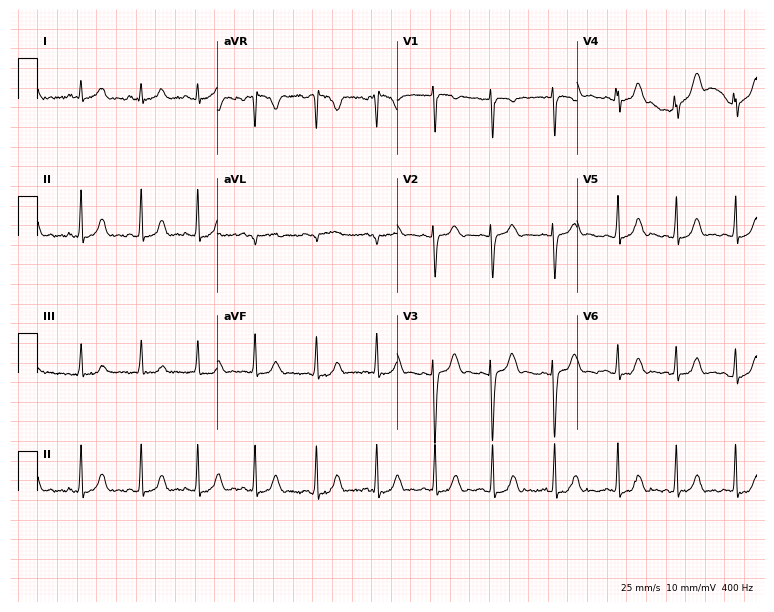
12-lead ECG from a female, 21 years old. No first-degree AV block, right bundle branch block, left bundle branch block, sinus bradycardia, atrial fibrillation or sinus tachycardia recorded for this tracing. Only these six findings were labelled.